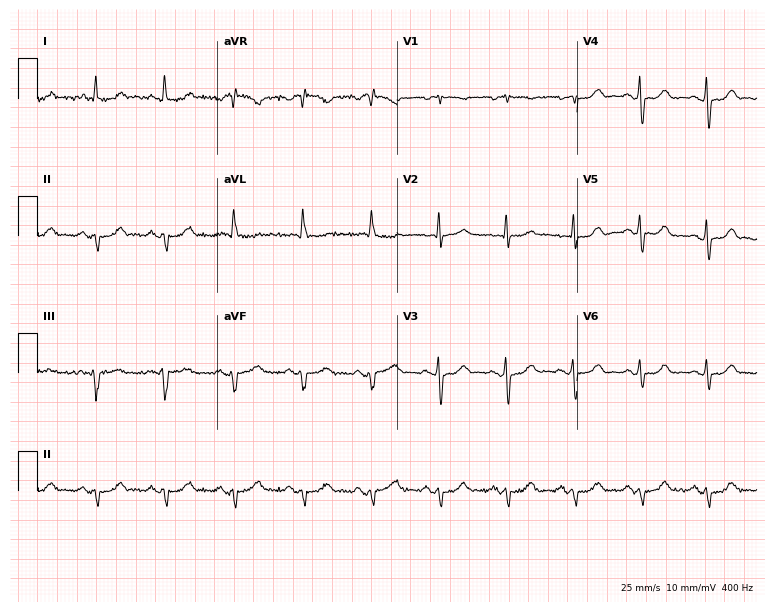
Electrocardiogram (7.3-second recording at 400 Hz), a 73-year-old woman. Of the six screened findings (first-degree AV block, right bundle branch block, left bundle branch block, sinus bradycardia, atrial fibrillation, sinus tachycardia), none is recorded. Findings outside these six are not listed.